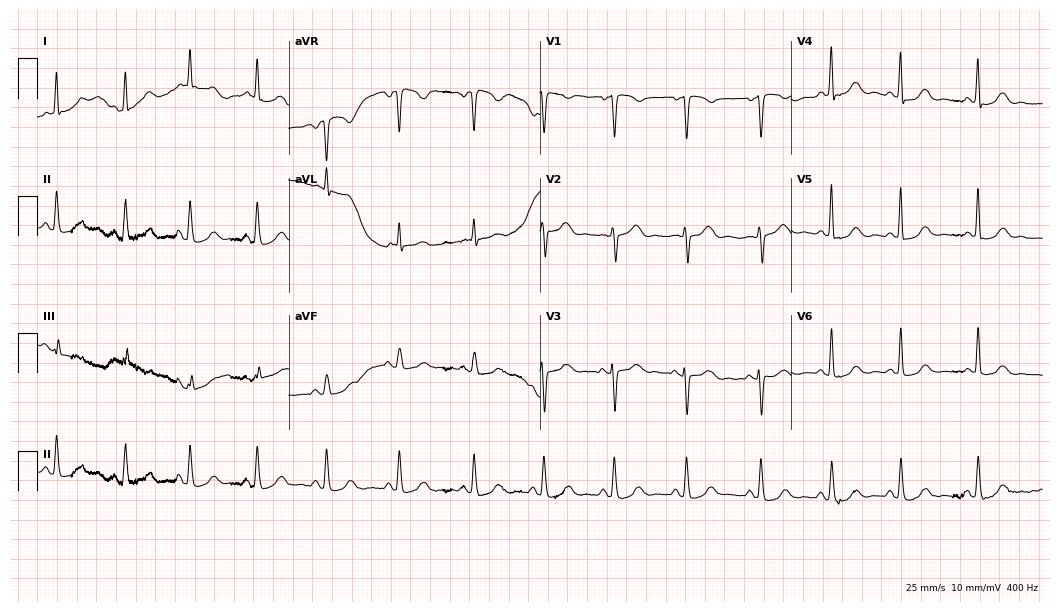
Standard 12-lead ECG recorded from a 48-year-old female. Read as a normal ECG.